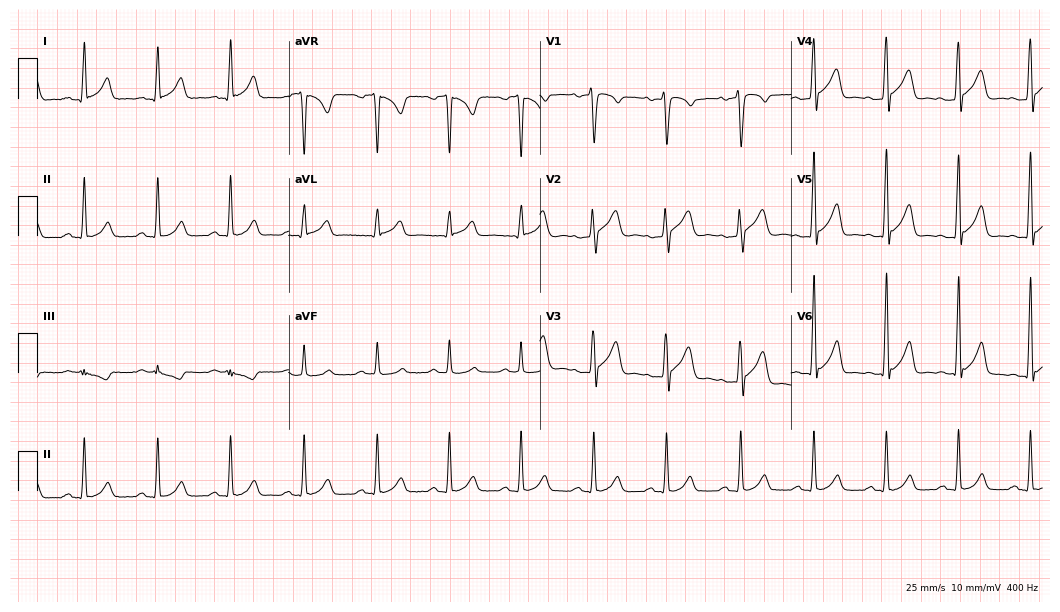
Resting 12-lead electrocardiogram. Patient: a male, 23 years old. None of these six findings is recorded: first-degree AV block, right bundle branch block, left bundle branch block, sinus bradycardia, atrial fibrillation, sinus tachycardia. Findings outside these six are not listed.